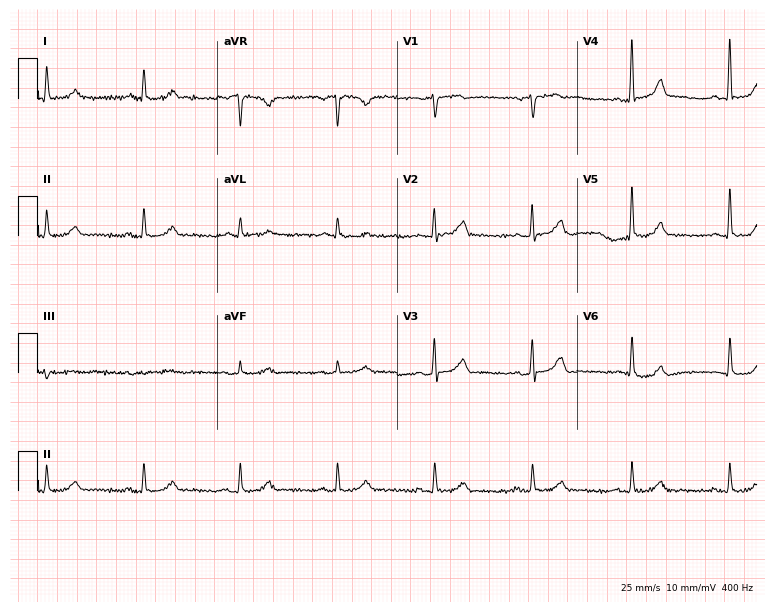
12-lead ECG (7.3-second recording at 400 Hz) from a 76-year-old man. Screened for six findings — first-degree AV block, right bundle branch block, left bundle branch block, sinus bradycardia, atrial fibrillation, sinus tachycardia — none is recorded. Findings outside these six are not listed.